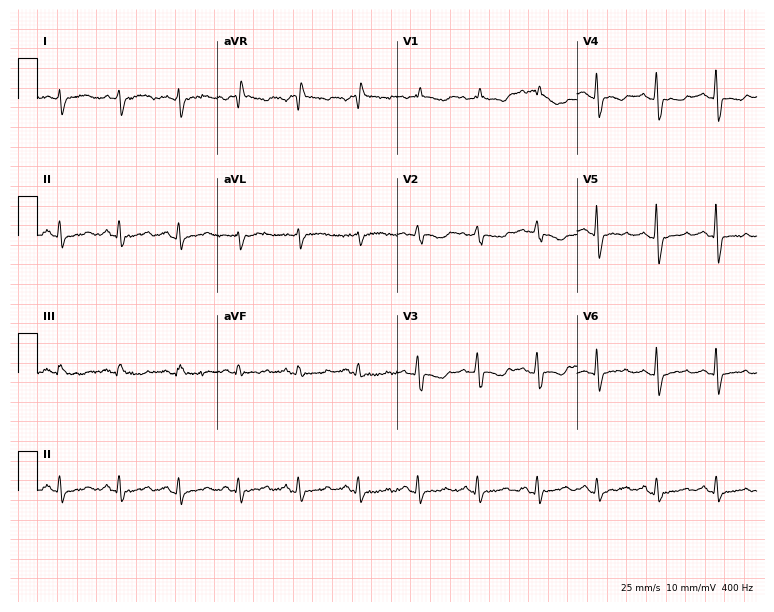
12-lead ECG from a female, 42 years old. No first-degree AV block, right bundle branch block (RBBB), left bundle branch block (LBBB), sinus bradycardia, atrial fibrillation (AF) or sinus tachycardia recorded for this tracing. Other findings, if any, are not listed.